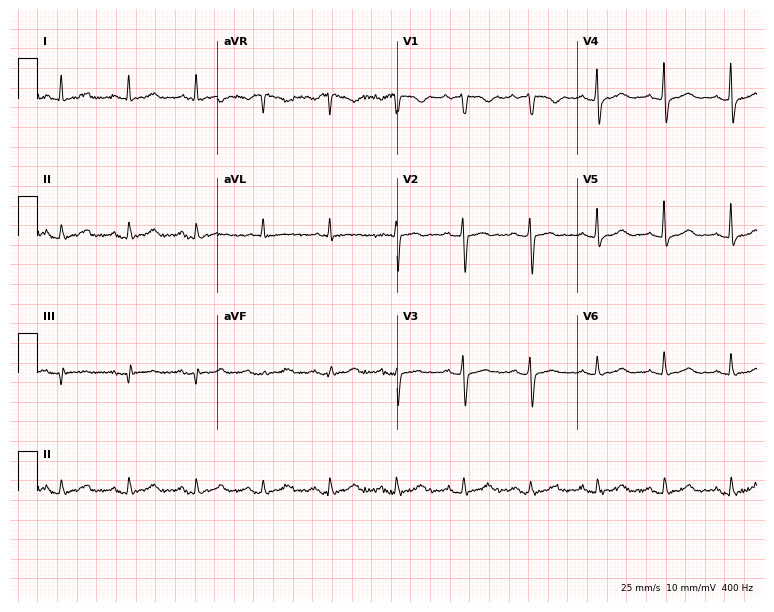
12-lead ECG (7.3-second recording at 400 Hz) from a 72-year-old female patient. Labelled as a normal ECG.